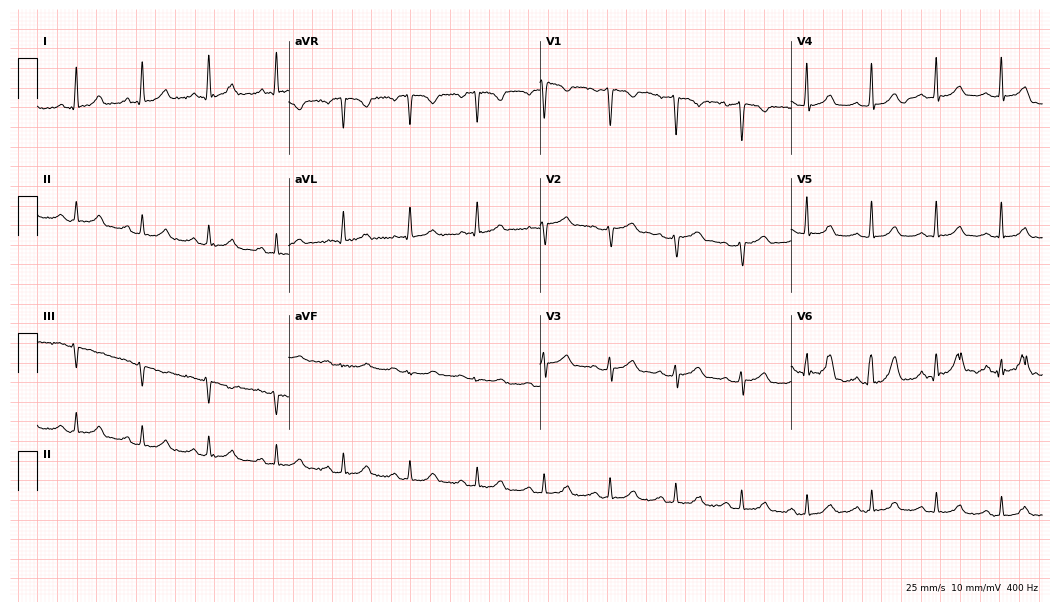
12-lead ECG from a female patient, 49 years old. Recorded interpretation: within normal limits.